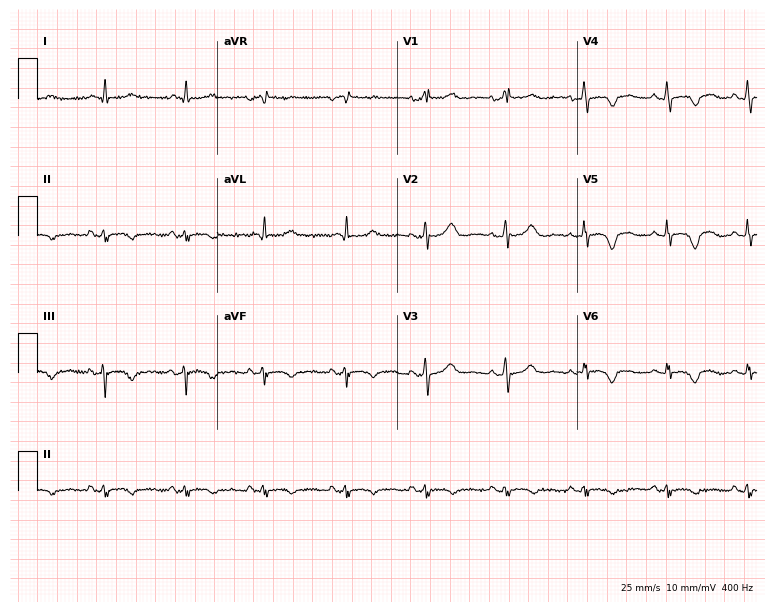
ECG (7.3-second recording at 400 Hz) — a 63-year-old woman. Screened for six findings — first-degree AV block, right bundle branch block, left bundle branch block, sinus bradycardia, atrial fibrillation, sinus tachycardia — none is recorded.